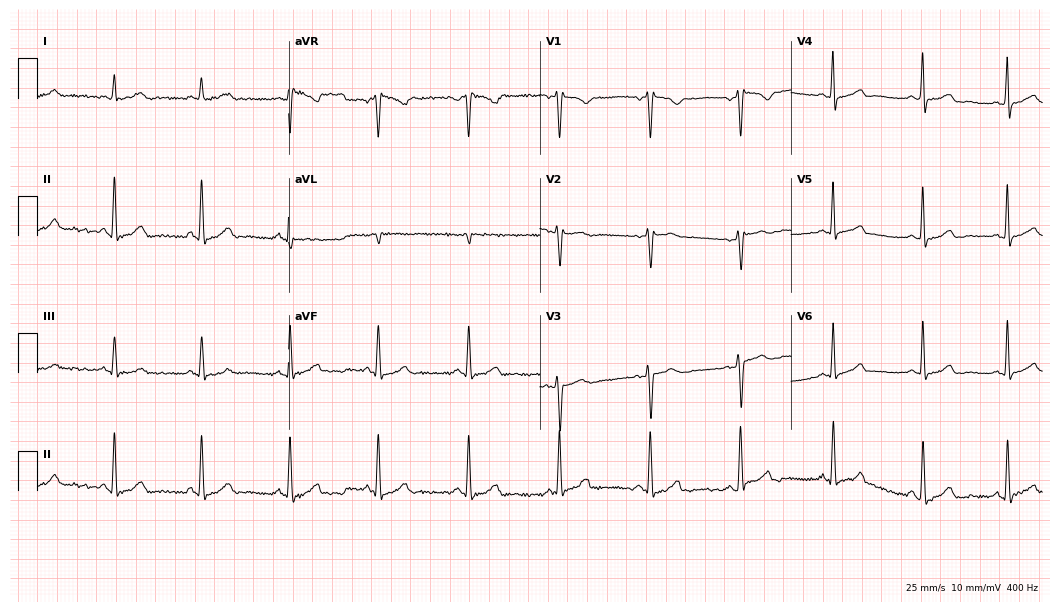
Resting 12-lead electrocardiogram (10.2-second recording at 400 Hz). Patient: a 35-year-old female. Read as a normal ECG.